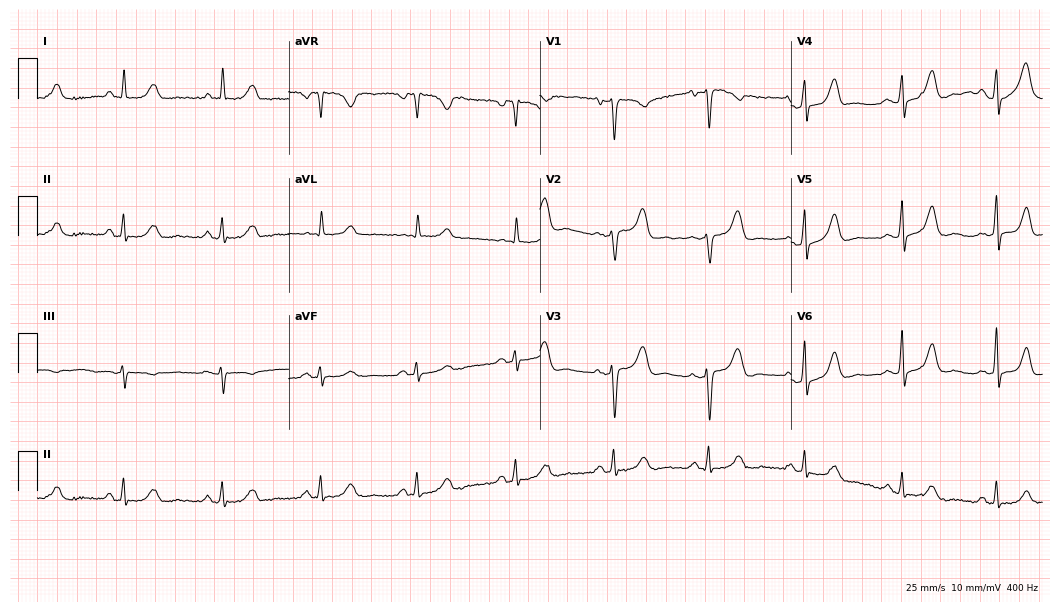
Standard 12-lead ECG recorded from a woman, 57 years old. Read as a normal ECG.